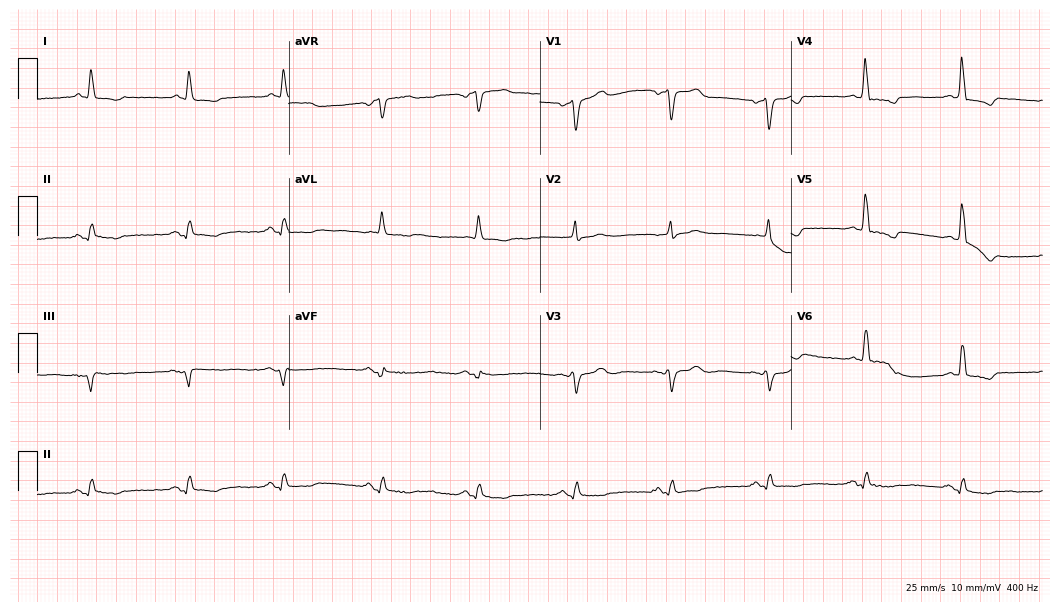
Standard 12-lead ECG recorded from an 80-year-old male patient. None of these six findings is recorded: first-degree AV block, right bundle branch block (RBBB), left bundle branch block (LBBB), sinus bradycardia, atrial fibrillation (AF), sinus tachycardia.